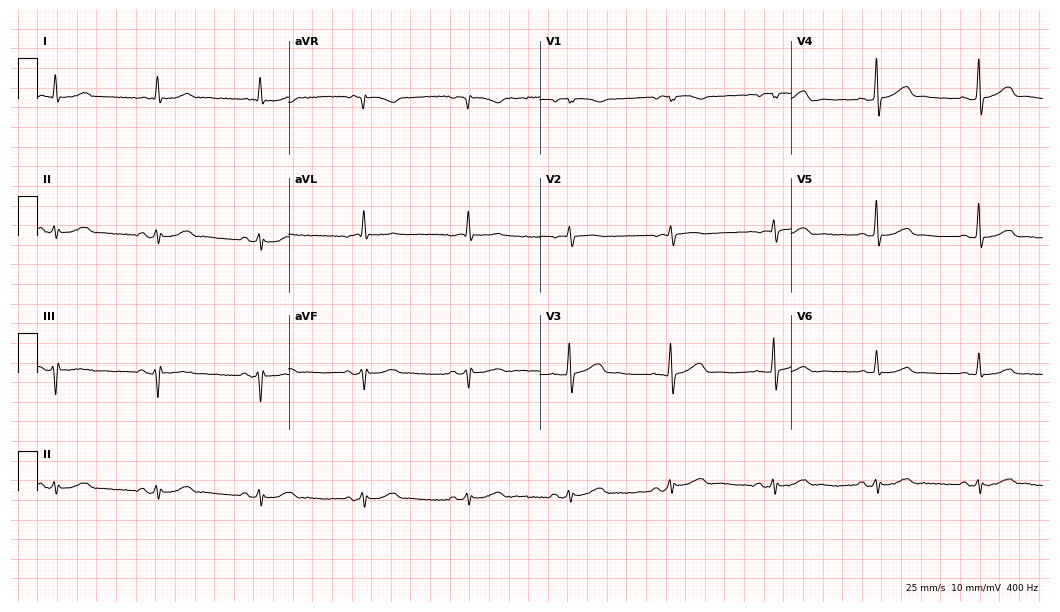
Electrocardiogram (10.2-second recording at 400 Hz), an 82-year-old male. Of the six screened findings (first-degree AV block, right bundle branch block, left bundle branch block, sinus bradycardia, atrial fibrillation, sinus tachycardia), none is recorded. Only these six findings were labelled.